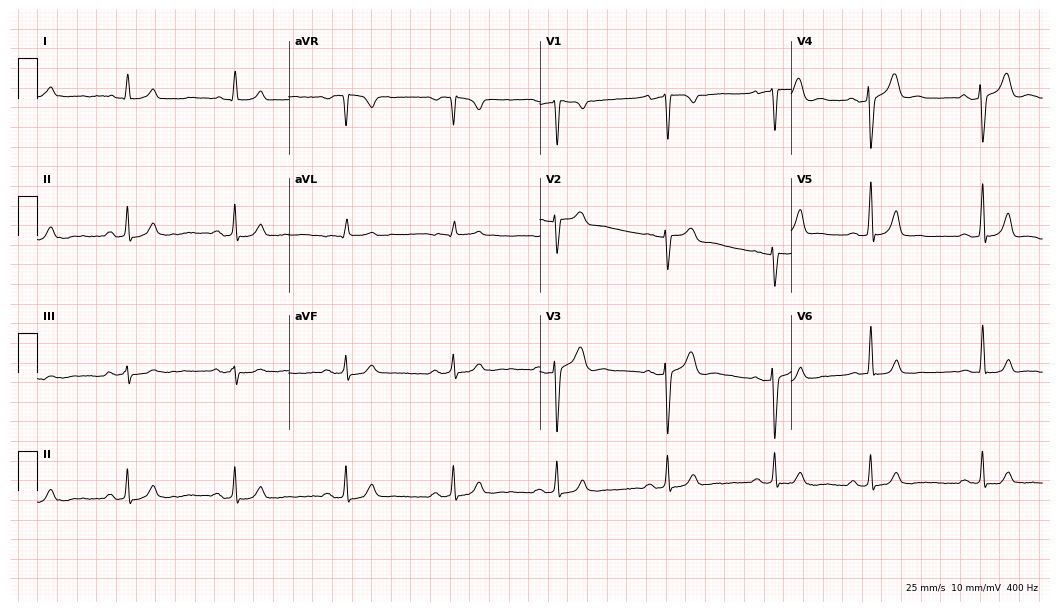
12-lead ECG from a male, 34 years old. Labelled as a normal ECG.